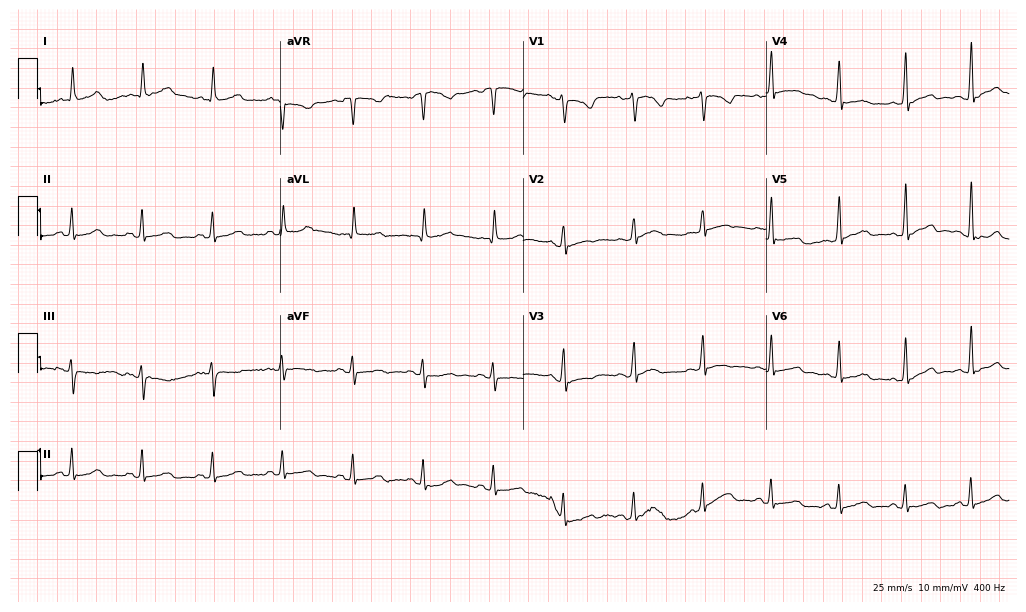
Resting 12-lead electrocardiogram. Patient: a female, 60 years old. None of these six findings is recorded: first-degree AV block, right bundle branch block, left bundle branch block, sinus bradycardia, atrial fibrillation, sinus tachycardia. Other findings, if any, are not listed.